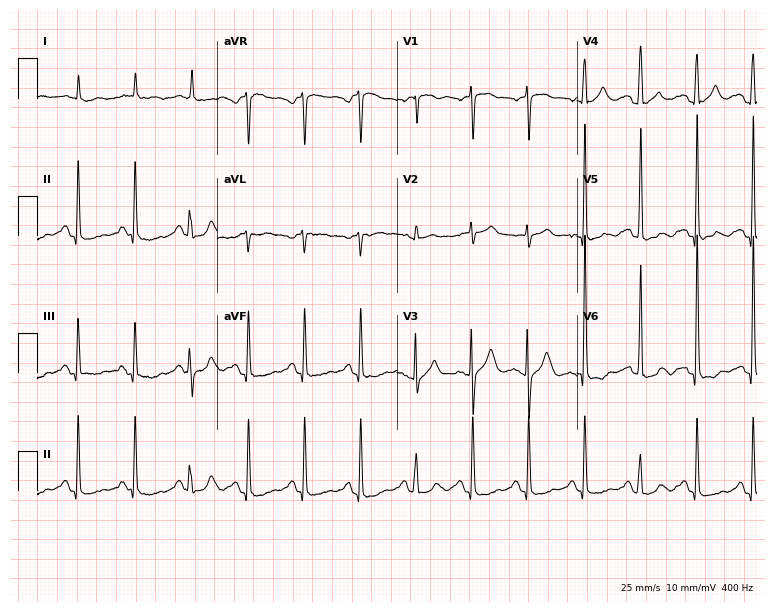
ECG (7.3-second recording at 400 Hz) — an 80-year-old woman. Findings include sinus tachycardia (a sinus rate of 100 beats per minute or more).